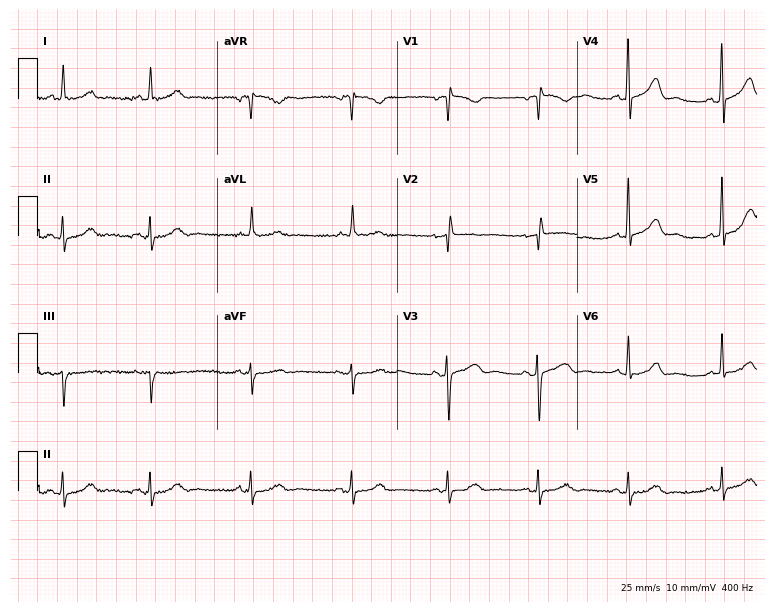
Electrocardiogram, a 75-year-old woman. Overall reading on record: normal ECG.